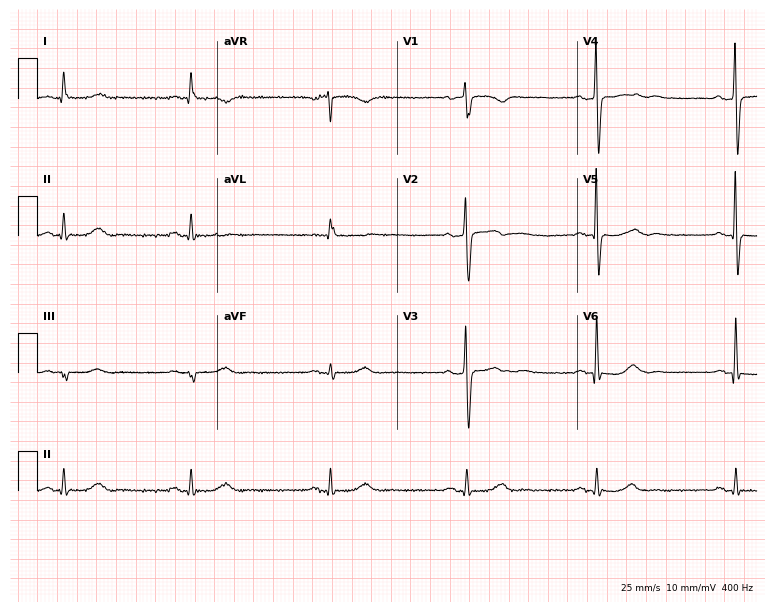
ECG — a female, 58 years old. Findings include sinus bradycardia (a sinus rate of 50 beats per minute or less).